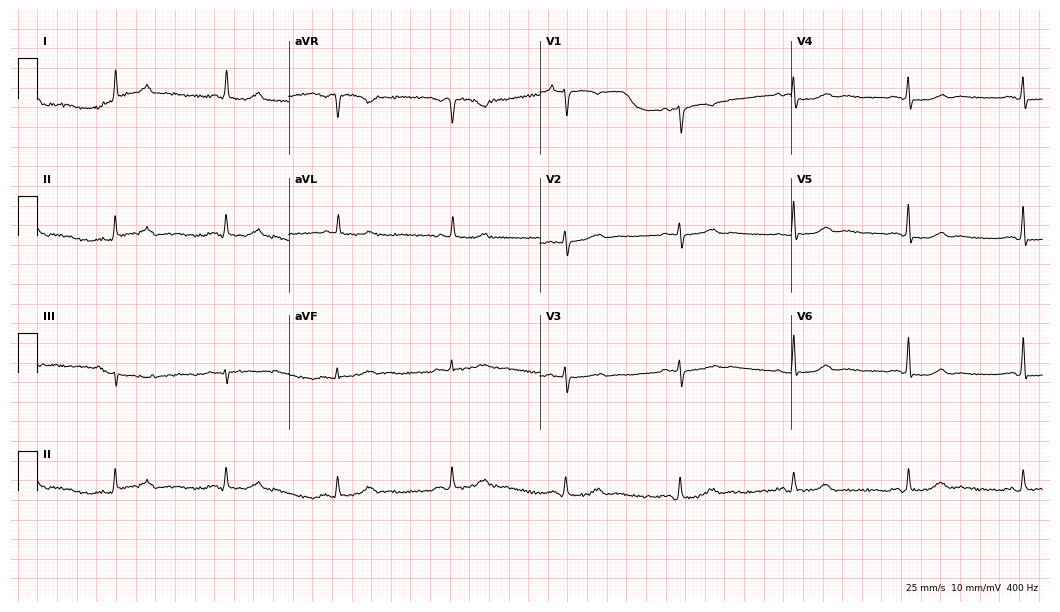
Resting 12-lead electrocardiogram (10.2-second recording at 400 Hz). Patient: a female, 83 years old. Read as a normal ECG.